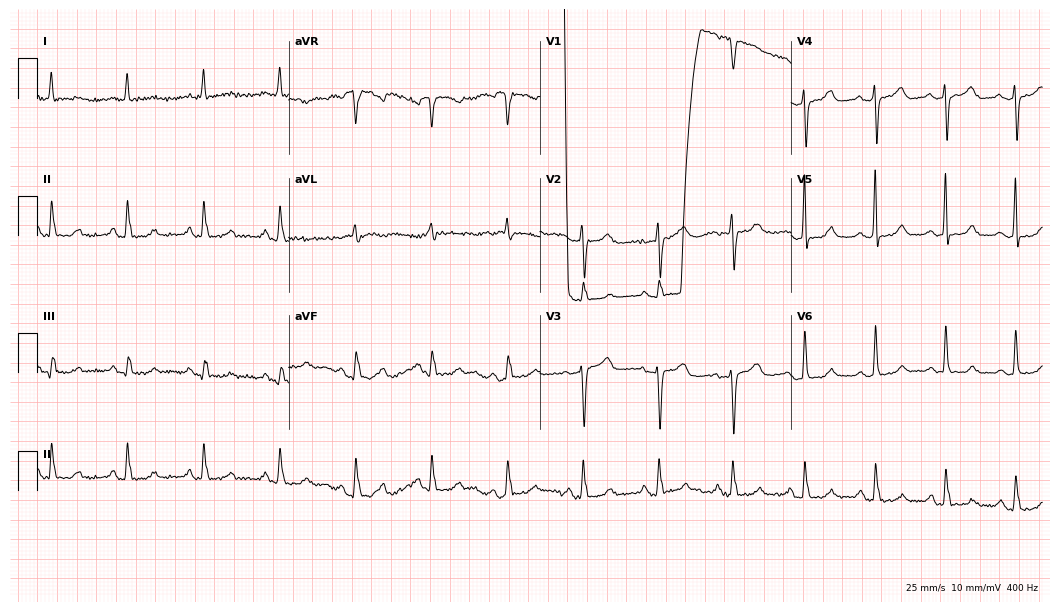
Resting 12-lead electrocardiogram (10.2-second recording at 400 Hz). Patient: a 77-year-old female. None of these six findings is recorded: first-degree AV block, right bundle branch block, left bundle branch block, sinus bradycardia, atrial fibrillation, sinus tachycardia.